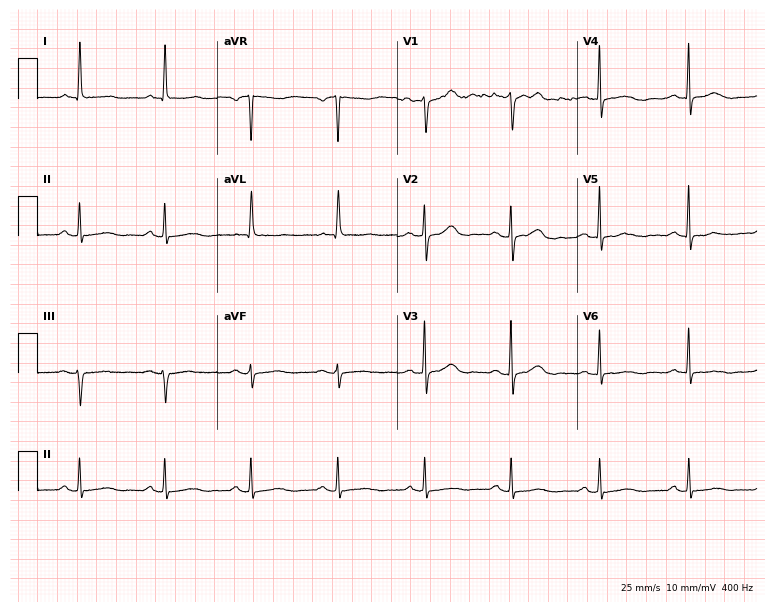
ECG — a 66-year-old woman. Labelled as a normal ECG.